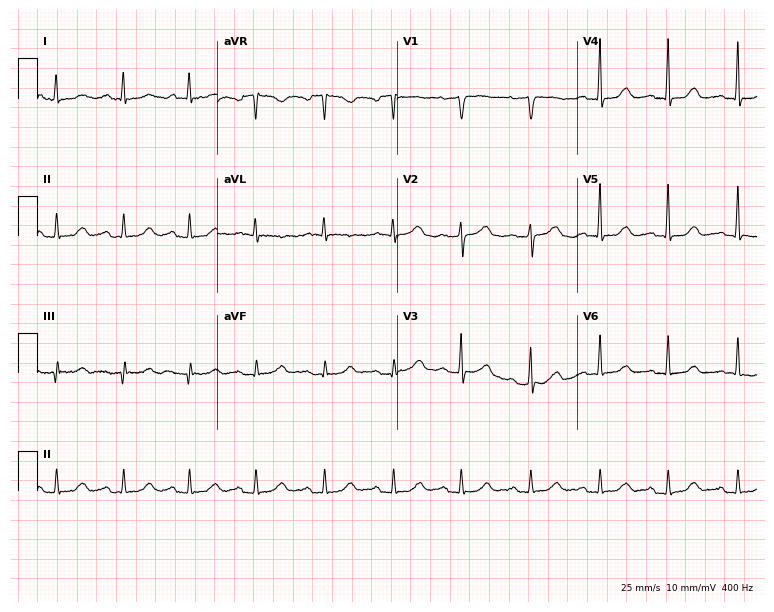
Resting 12-lead electrocardiogram (7.3-second recording at 400 Hz). Patient: a 65-year-old female. Read as a normal ECG.